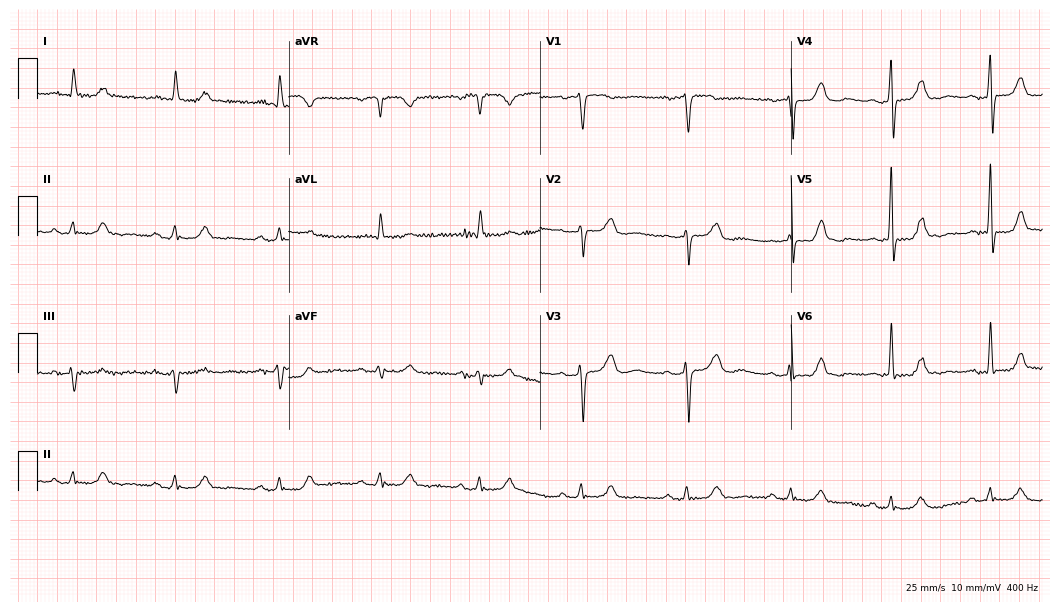
Standard 12-lead ECG recorded from a female, 68 years old (10.2-second recording at 400 Hz). Read as a normal ECG.